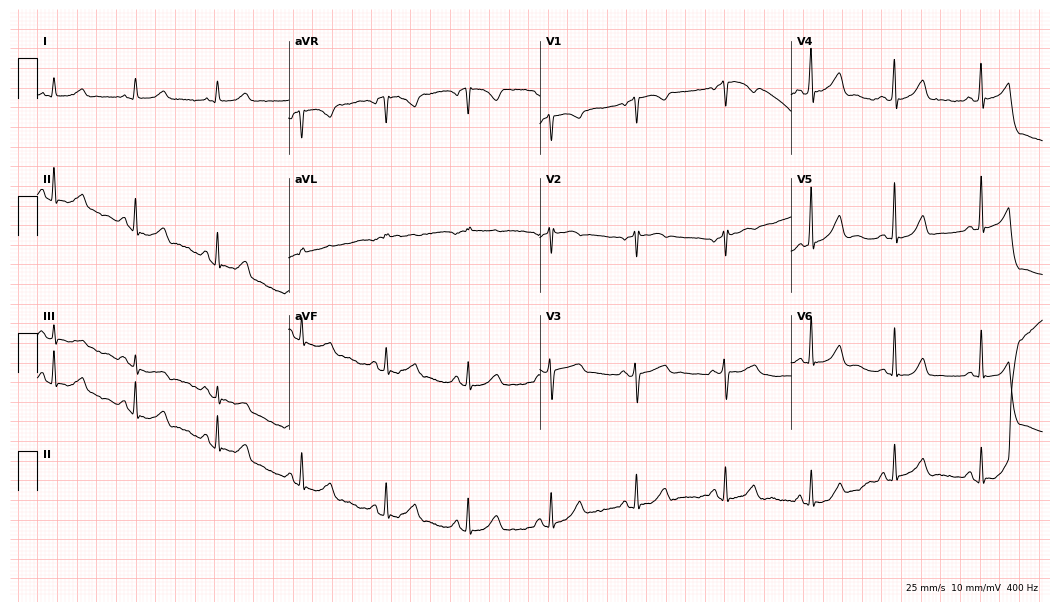
12-lead ECG (10.2-second recording at 400 Hz) from a woman, 55 years old. Labelled as a normal ECG.